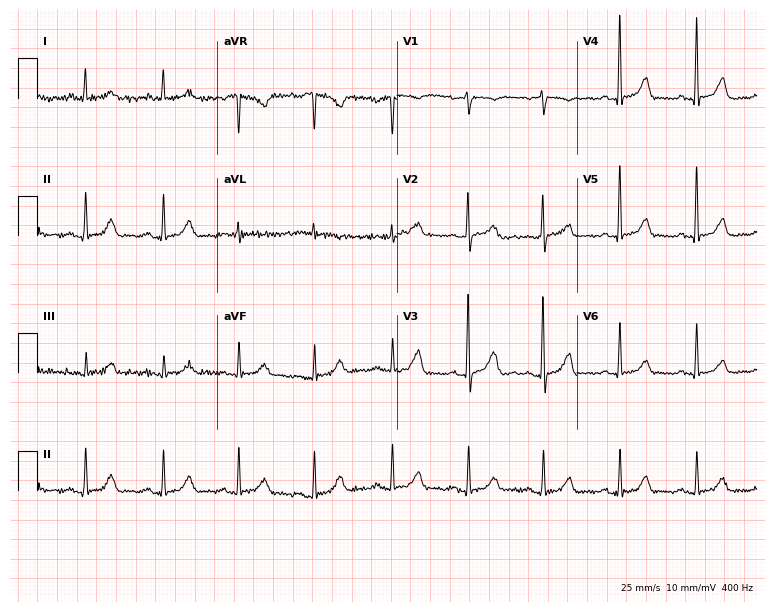
12-lead ECG (7.3-second recording at 400 Hz) from a woman, 69 years old. Labelled as a normal ECG.